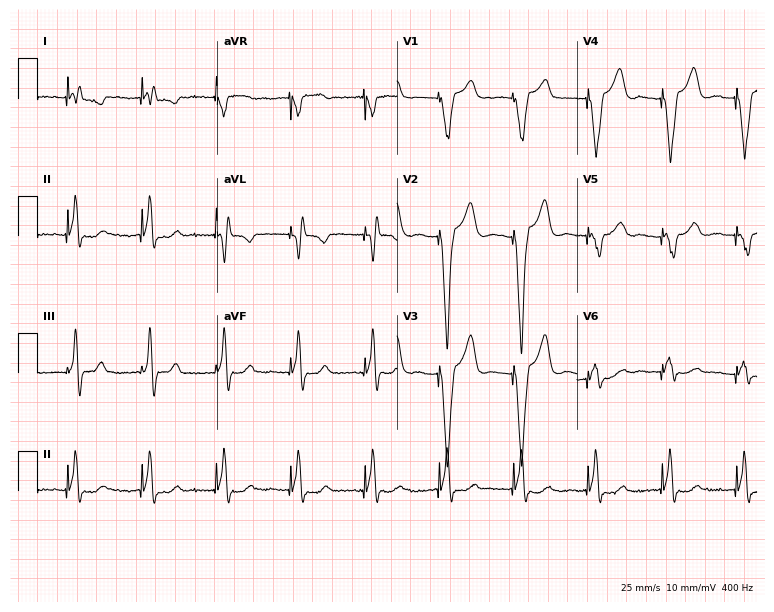
Standard 12-lead ECG recorded from a 68-year-old woman. None of these six findings is recorded: first-degree AV block, right bundle branch block, left bundle branch block, sinus bradycardia, atrial fibrillation, sinus tachycardia.